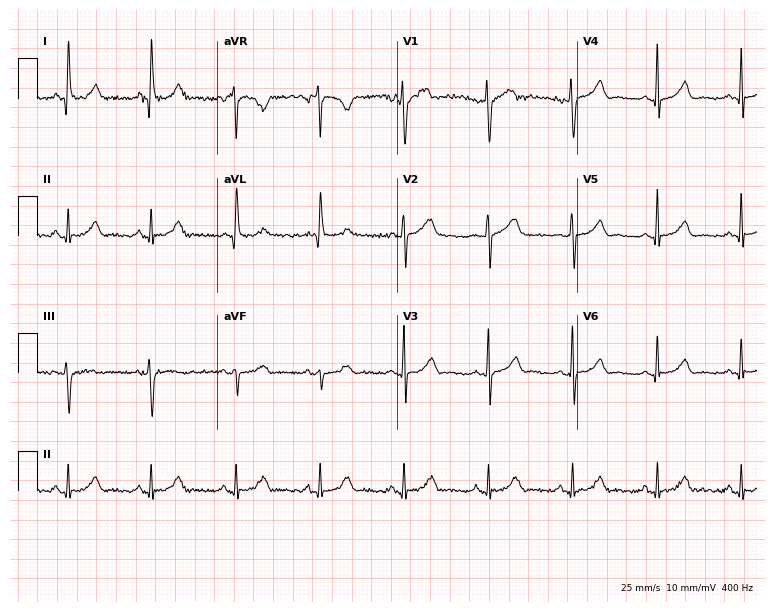
Resting 12-lead electrocardiogram. Patient: a 64-year-old female. Read as a normal ECG.